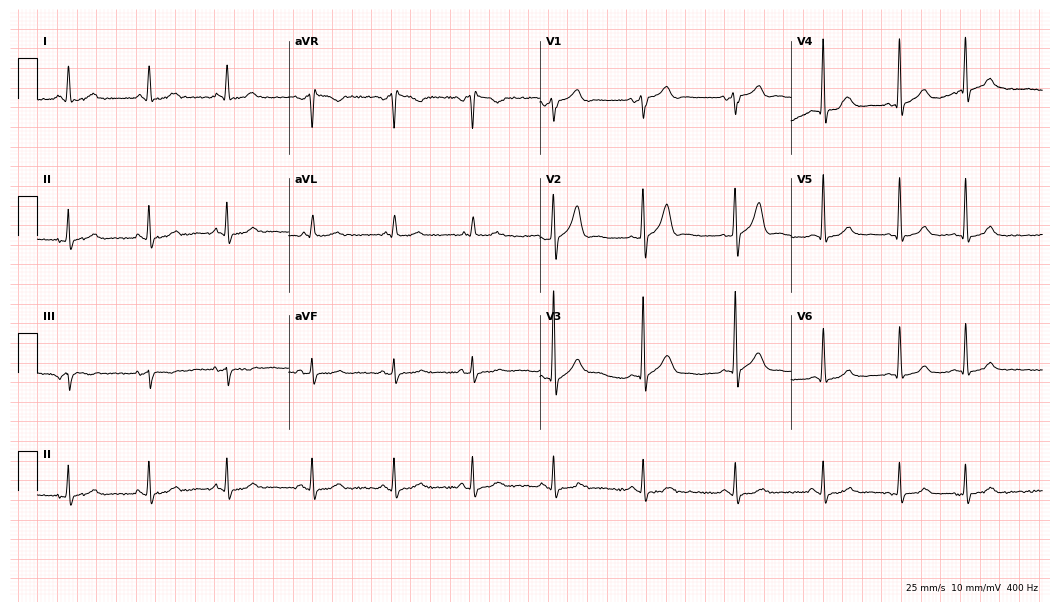
Electrocardiogram, a 77-year-old male. Overall reading on record: normal ECG.